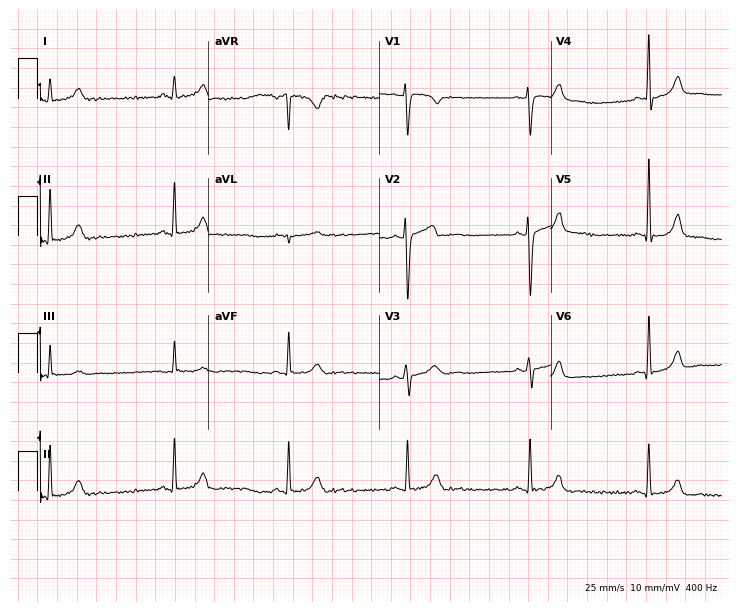
12-lead ECG from a female, 32 years old (7-second recording at 400 Hz). No first-degree AV block, right bundle branch block (RBBB), left bundle branch block (LBBB), sinus bradycardia, atrial fibrillation (AF) or sinus tachycardia recorded for this tracing.